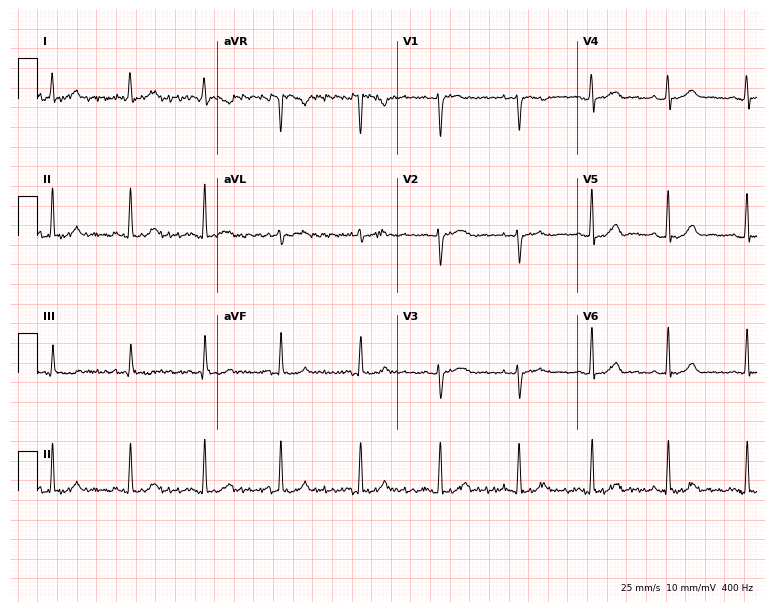
ECG (7.3-second recording at 400 Hz) — a 22-year-old female. Labelled as a normal ECG.